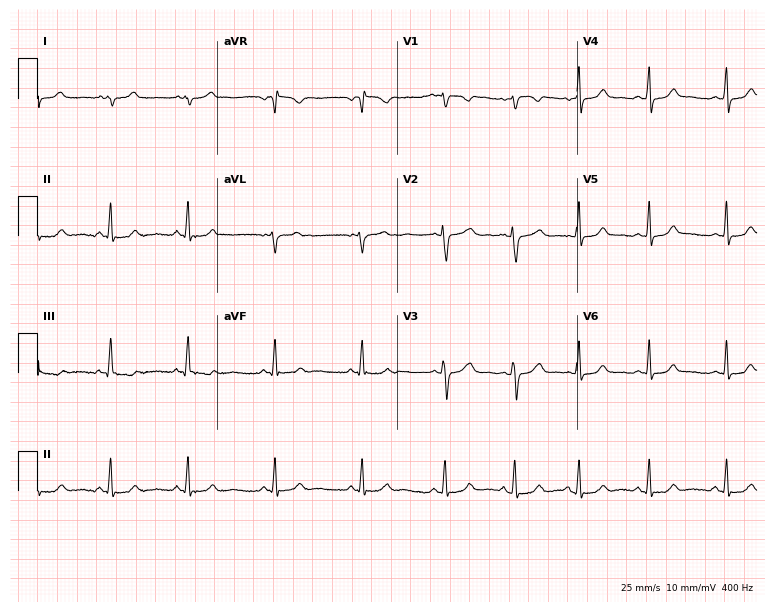
Standard 12-lead ECG recorded from a 26-year-old female. None of these six findings is recorded: first-degree AV block, right bundle branch block (RBBB), left bundle branch block (LBBB), sinus bradycardia, atrial fibrillation (AF), sinus tachycardia. Other findings, if any, are not listed.